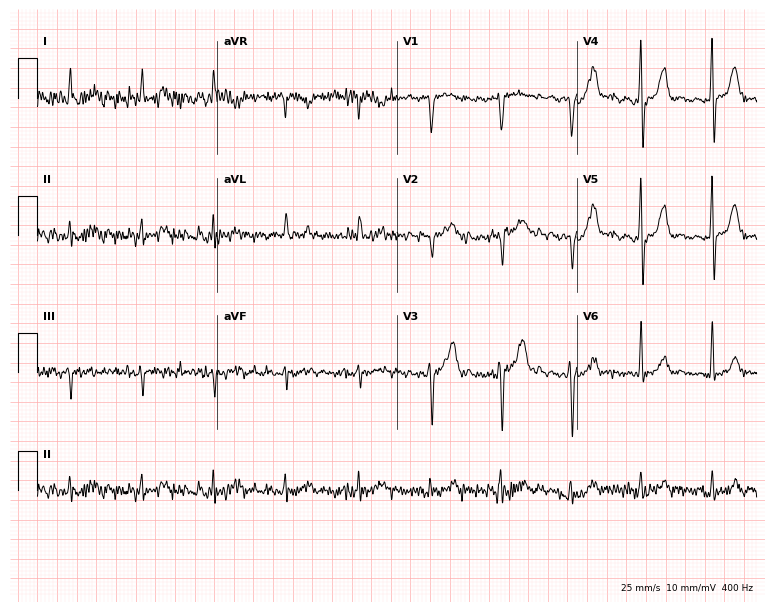
Electrocardiogram (7.3-second recording at 400 Hz), a male, 54 years old. Of the six screened findings (first-degree AV block, right bundle branch block, left bundle branch block, sinus bradycardia, atrial fibrillation, sinus tachycardia), none is recorded. Findings outside these six are not listed.